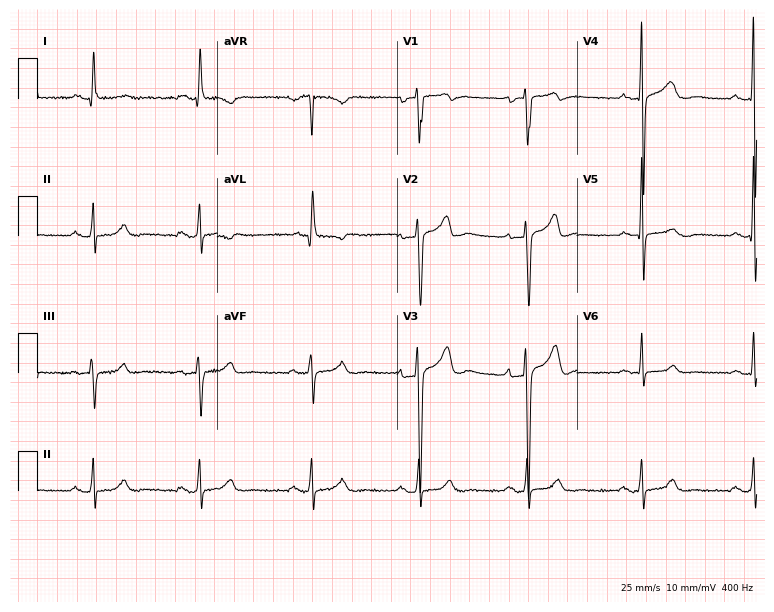
Standard 12-lead ECG recorded from a male, 66 years old. Read as a normal ECG.